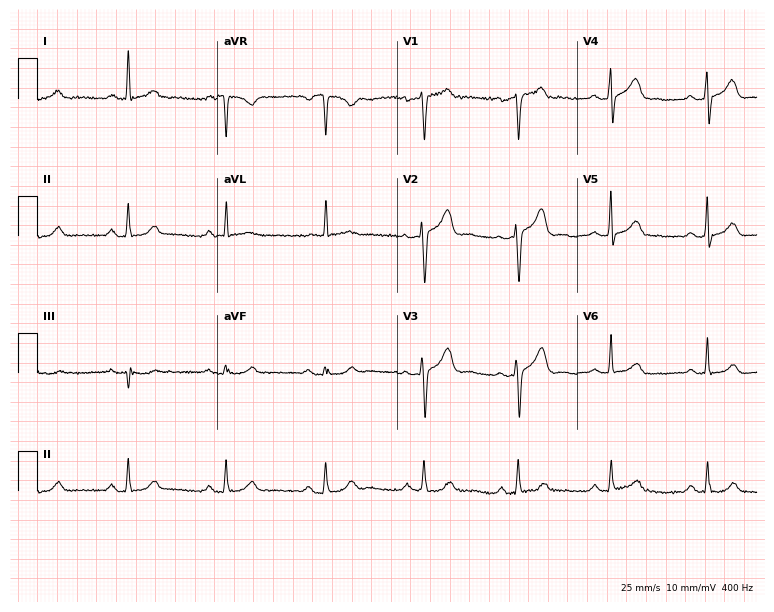
Electrocardiogram (7.3-second recording at 400 Hz), a female patient, 67 years old. Of the six screened findings (first-degree AV block, right bundle branch block, left bundle branch block, sinus bradycardia, atrial fibrillation, sinus tachycardia), none is recorded. Other findings, if any, are not listed.